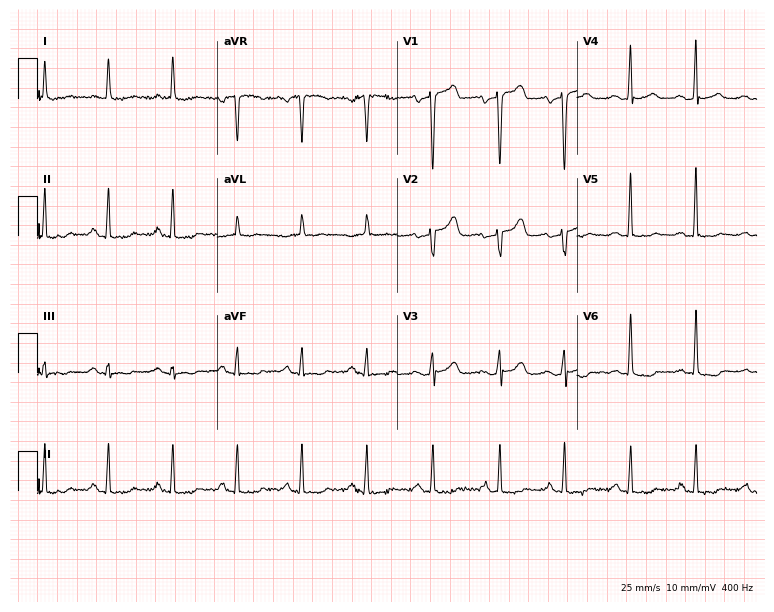
ECG — a 58-year-old female. Screened for six findings — first-degree AV block, right bundle branch block, left bundle branch block, sinus bradycardia, atrial fibrillation, sinus tachycardia — none is recorded.